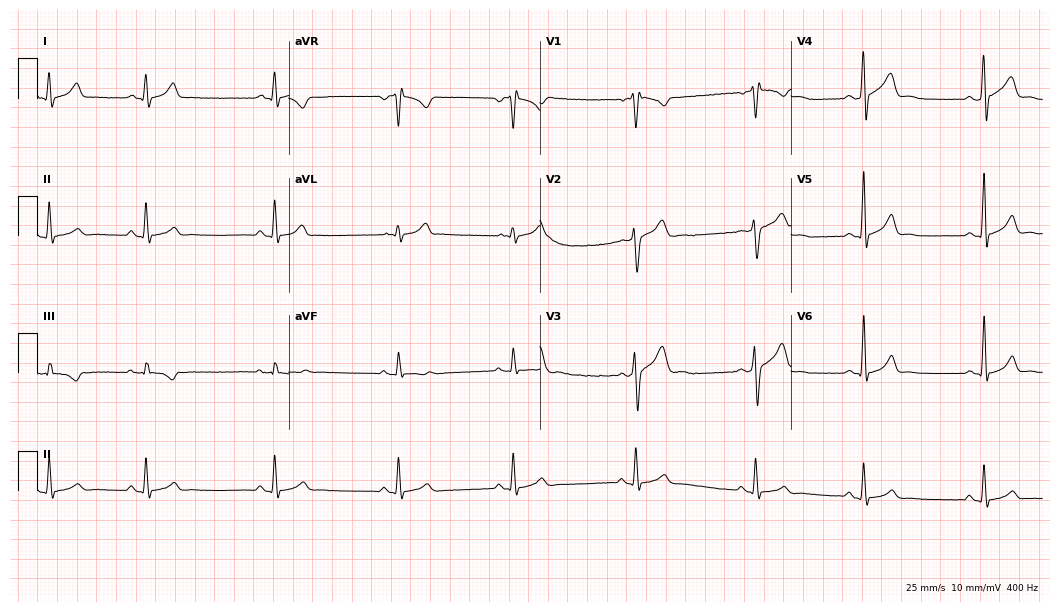
Standard 12-lead ECG recorded from a 23-year-old male patient. None of these six findings is recorded: first-degree AV block, right bundle branch block, left bundle branch block, sinus bradycardia, atrial fibrillation, sinus tachycardia.